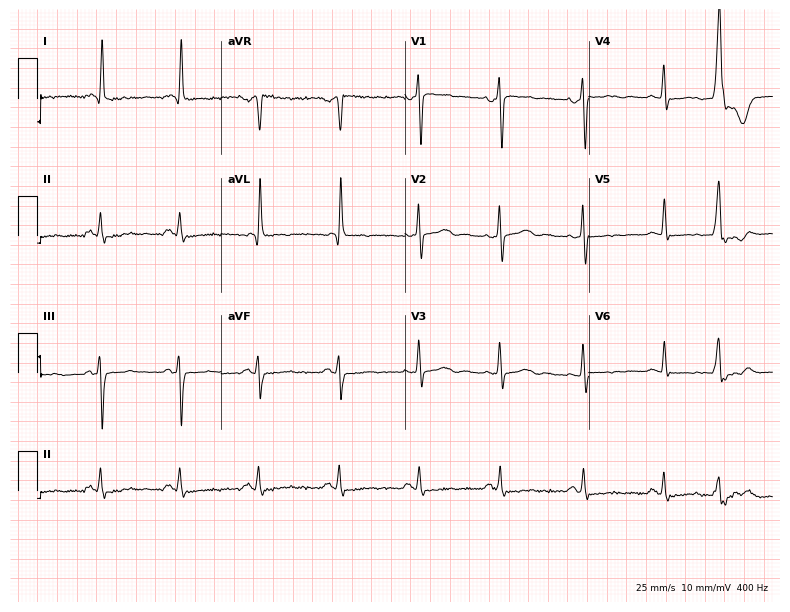
12-lead ECG from a 73-year-old female. Screened for six findings — first-degree AV block, right bundle branch block, left bundle branch block, sinus bradycardia, atrial fibrillation, sinus tachycardia — none is recorded. Other findings, if any, are not listed.